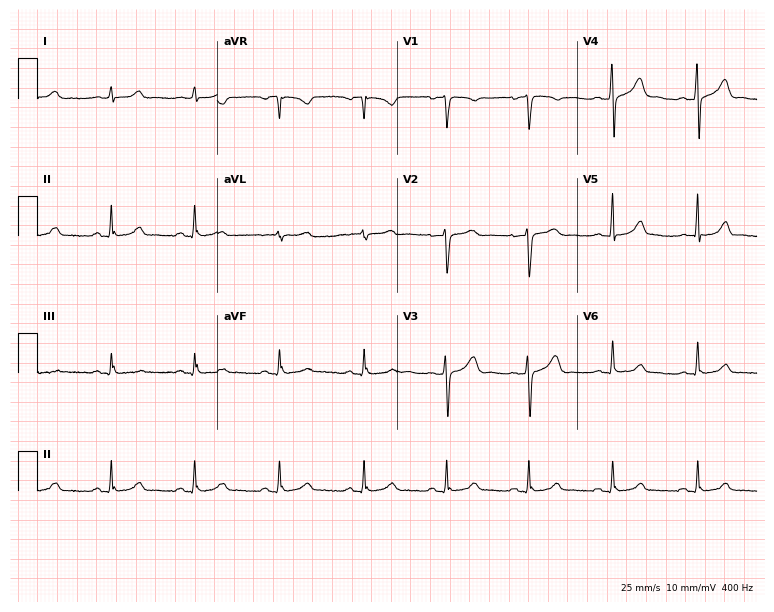
Electrocardiogram, a female patient, 49 years old. Overall reading on record: normal ECG.